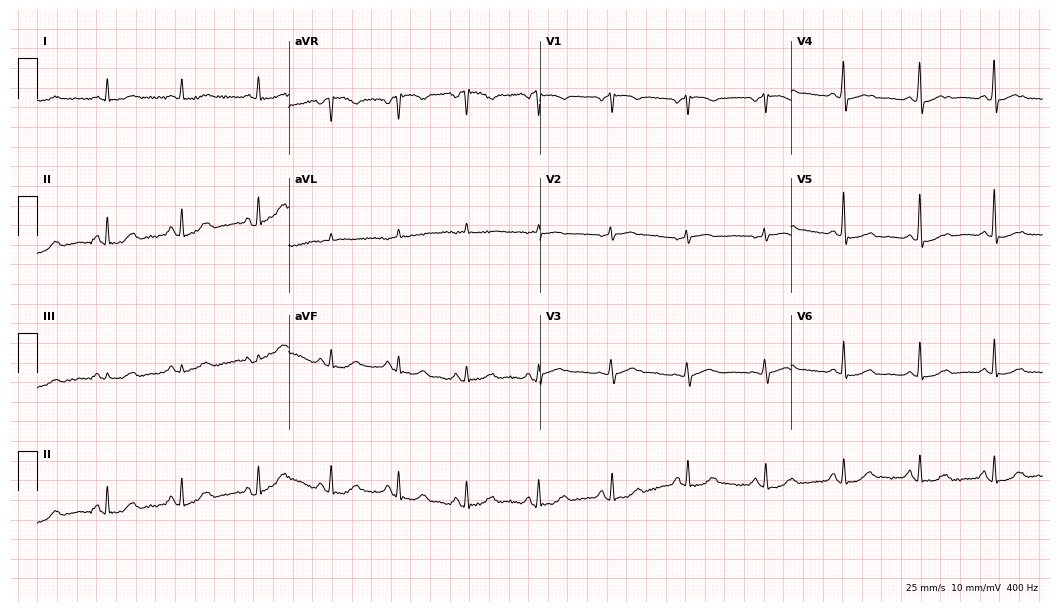
Electrocardiogram, a woman, 83 years old. Overall reading on record: normal ECG.